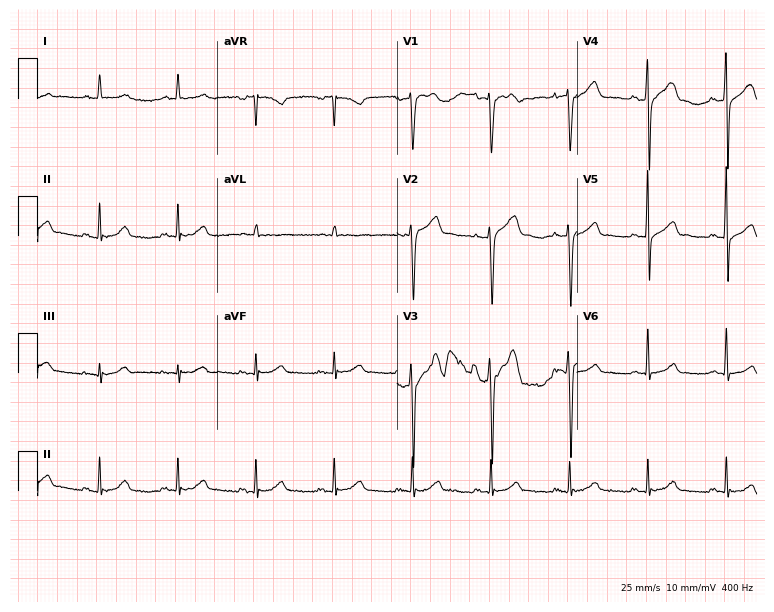
Resting 12-lead electrocardiogram. Patient: a male, 59 years old. Read as a normal ECG.